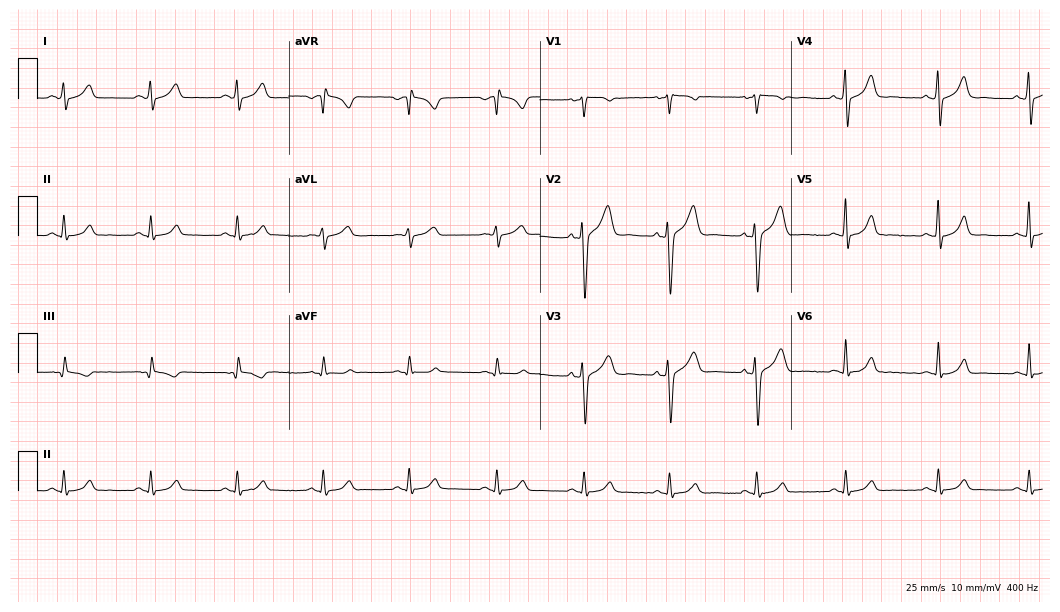
12-lead ECG from a 38-year-old male patient. Recorded interpretation: within normal limits.